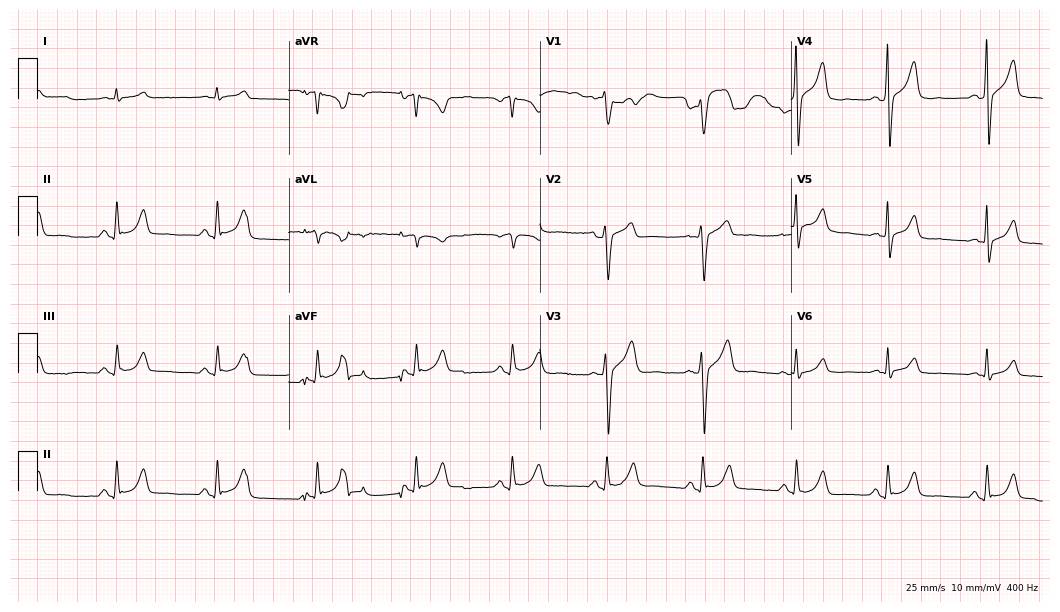
ECG (10.2-second recording at 400 Hz) — a man, 51 years old. Screened for six findings — first-degree AV block, right bundle branch block, left bundle branch block, sinus bradycardia, atrial fibrillation, sinus tachycardia — none is recorded. Only these six findings were labelled.